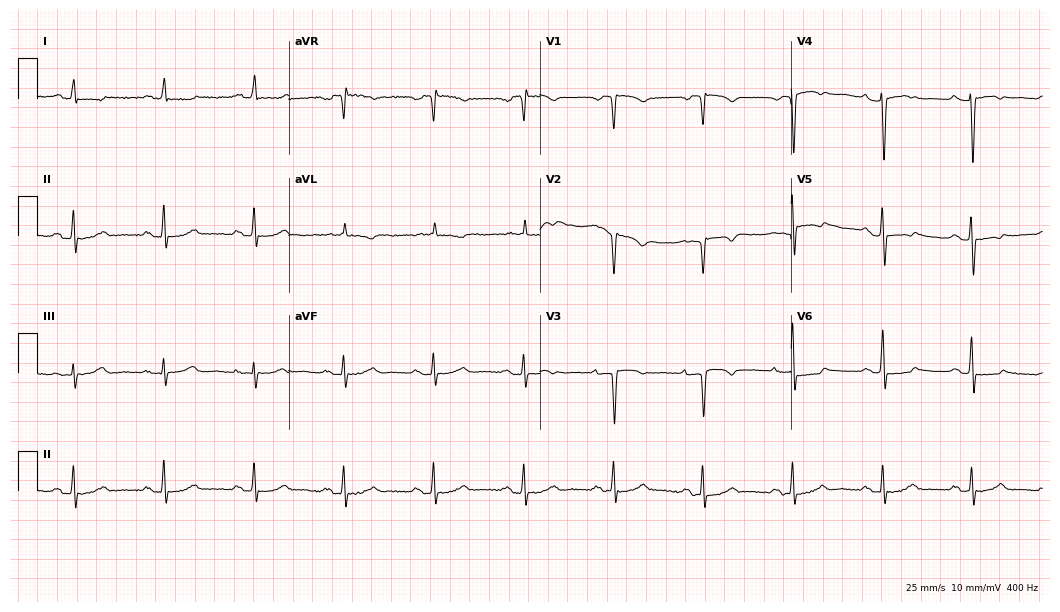
12-lead ECG (10.2-second recording at 400 Hz) from an 81-year-old female. Screened for six findings — first-degree AV block, right bundle branch block, left bundle branch block, sinus bradycardia, atrial fibrillation, sinus tachycardia — none is recorded.